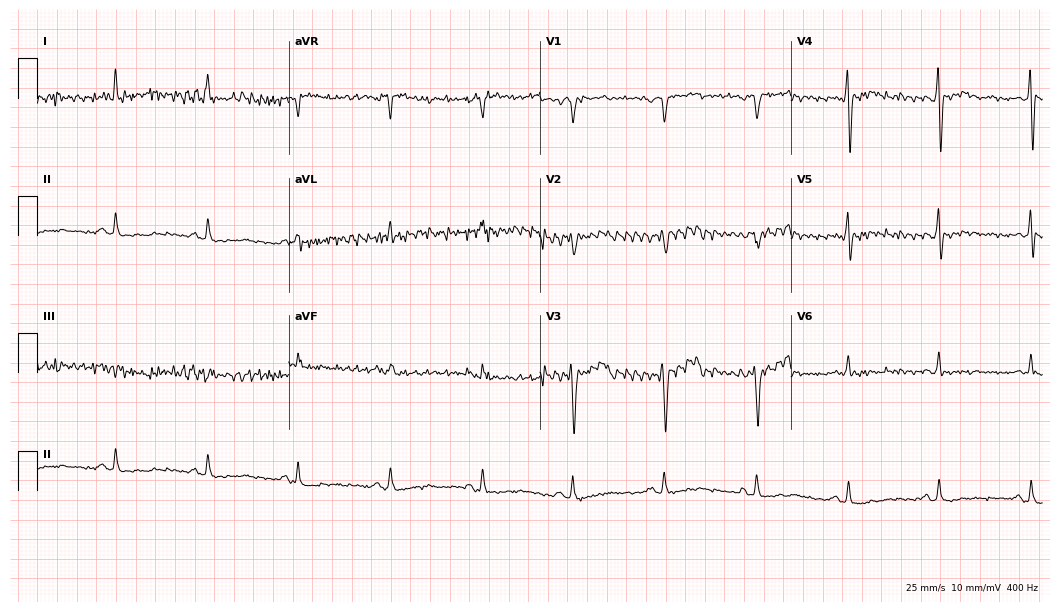
Electrocardiogram (10.2-second recording at 400 Hz), a 53-year-old woman. Of the six screened findings (first-degree AV block, right bundle branch block, left bundle branch block, sinus bradycardia, atrial fibrillation, sinus tachycardia), none is recorded.